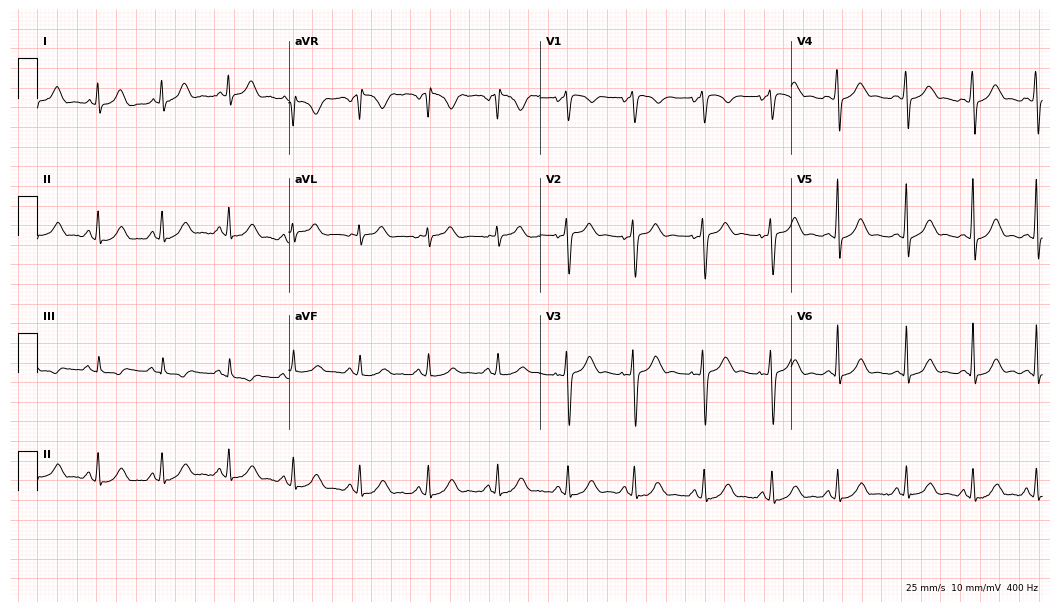
Electrocardiogram (10.2-second recording at 400 Hz), a female, 25 years old. Overall reading on record: normal ECG.